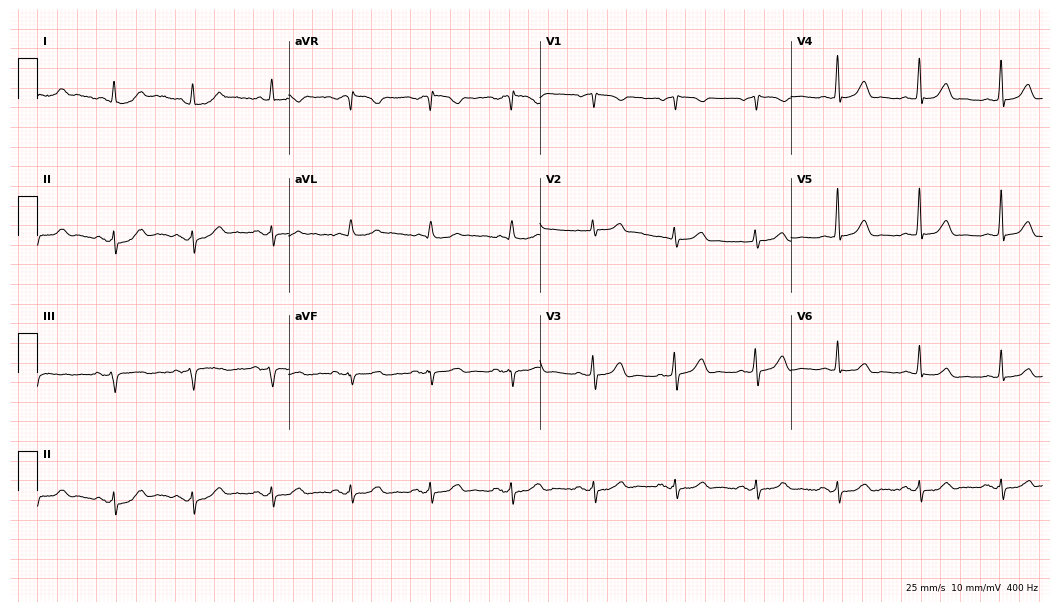
ECG (10.2-second recording at 400 Hz) — a man, 74 years old. Labelled as a normal ECG.